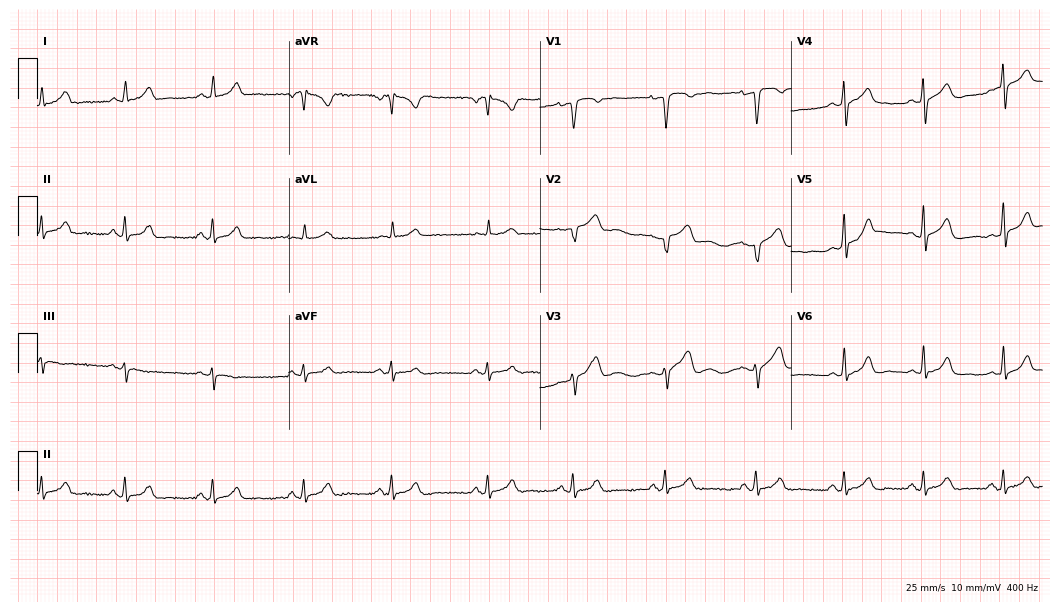
Standard 12-lead ECG recorded from a 25-year-old woman. Read as a normal ECG.